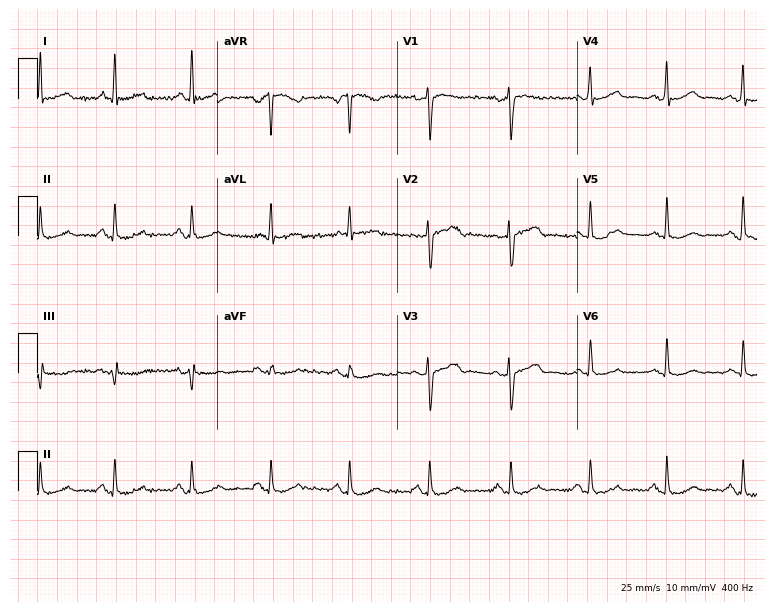
12-lead ECG from a 54-year-old female patient. No first-degree AV block, right bundle branch block, left bundle branch block, sinus bradycardia, atrial fibrillation or sinus tachycardia recorded for this tracing.